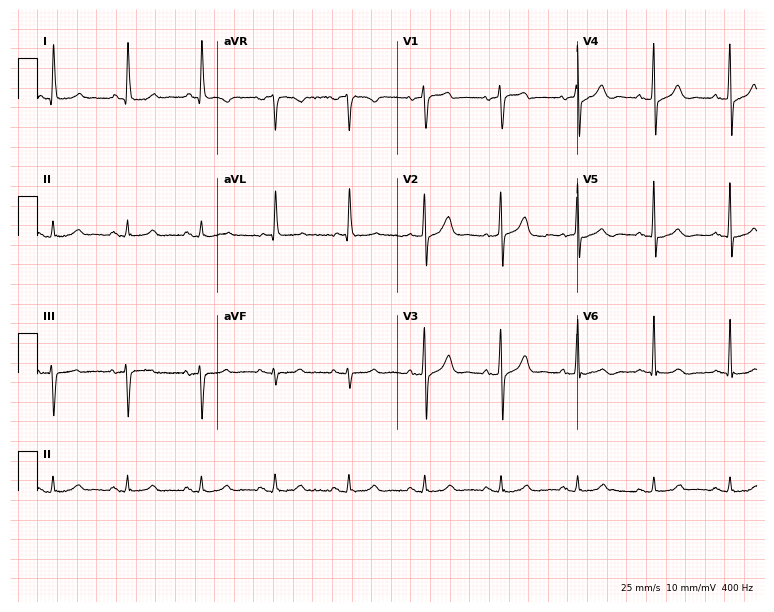
12-lead ECG (7.3-second recording at 400 Hz) from a 74-year-old man. Screened for six findings — first-degree AV block, right bundle branch block, left bundle branch block, sinus bradycardia, atrial fibrillation, sinus tachycardia — none is recorded. Only these six findings were labelled.